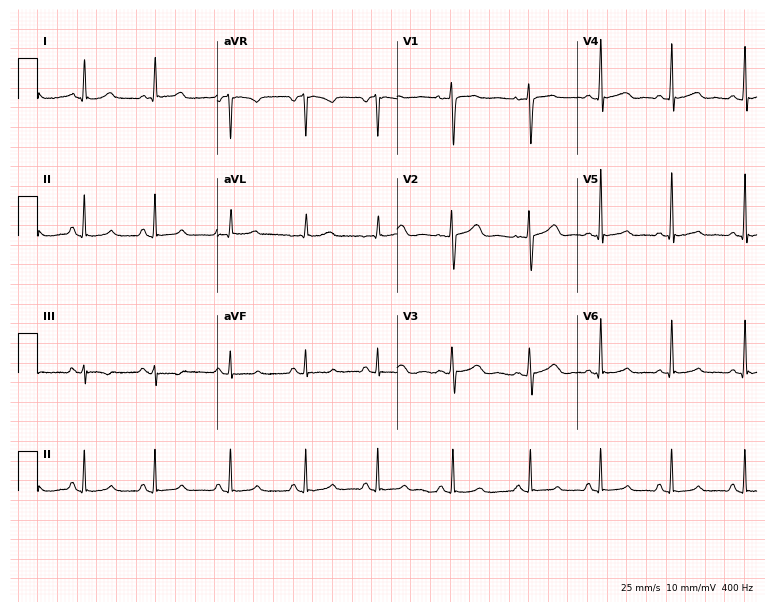
ECG (7.3-second recording at 400 Hz) — a 45-year-old woman. Labelled as a normal ECG.